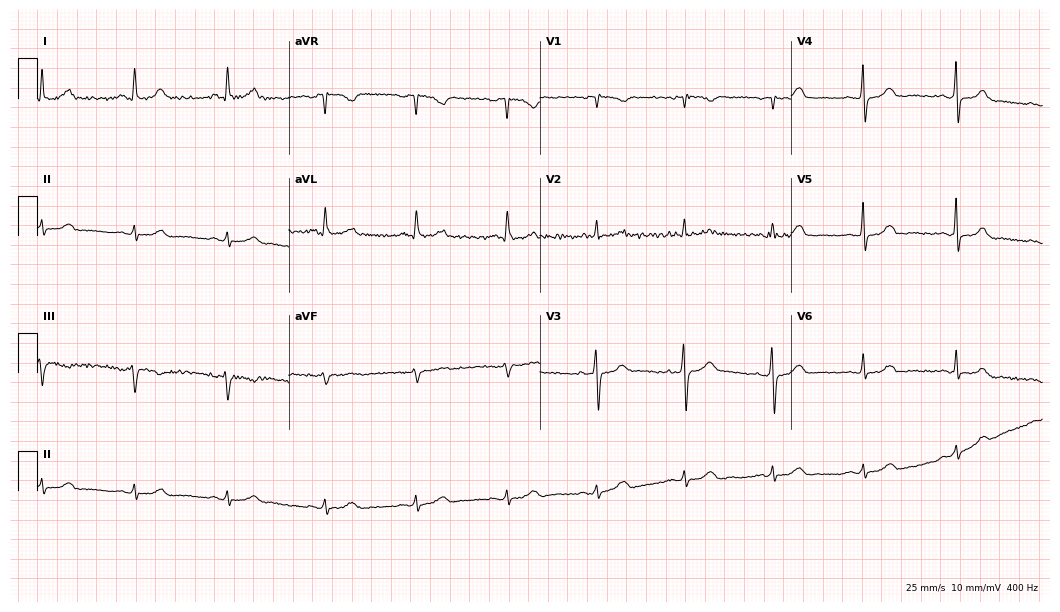
ECG (10.2-second recording at 400 Hz) — a 64-year-old woman. Screened for six findings — first-degree AV block, right bundle branch block, left bundle branch block, sinus bradycardia, atrial fibrillation, sinus tachycardia — none is recorded. Only these six findings were labelled.